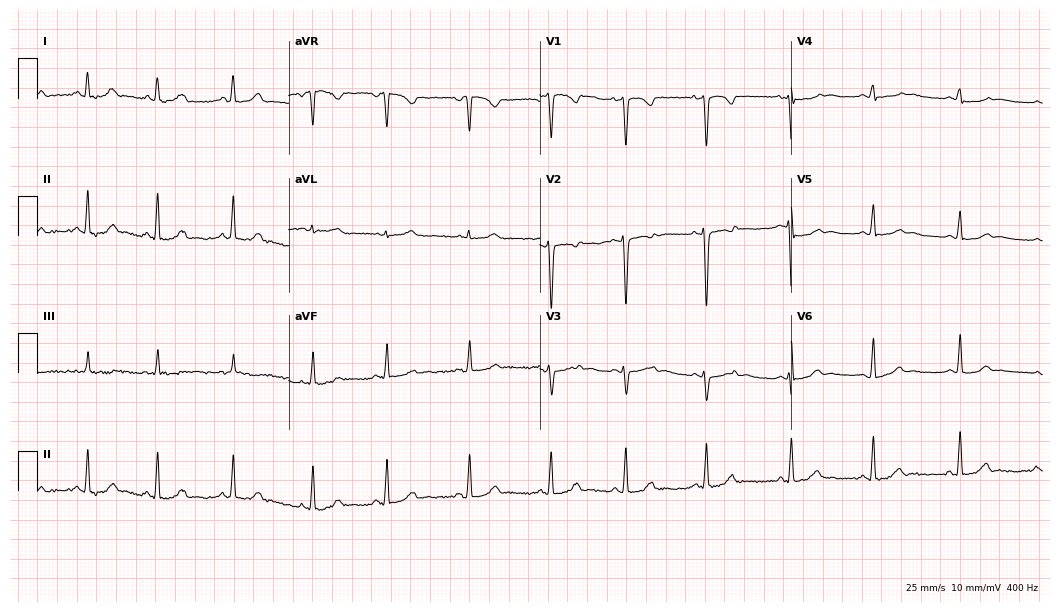
ECG — an 18-year-old woman. Labelled as a normal ECG.